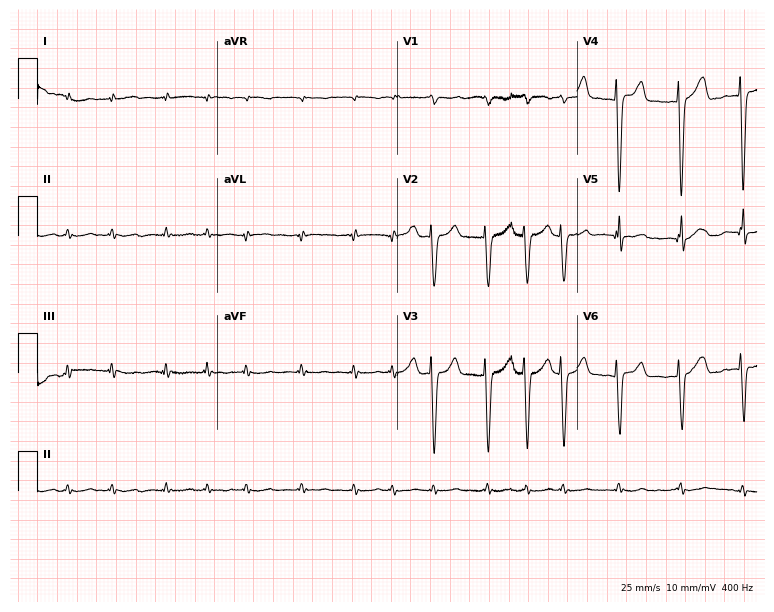
Standard 12-lead ECG recorded from a man, 64 years old (7.3-second recording at 400 Hz). The tracing shows atrial fibrillation.